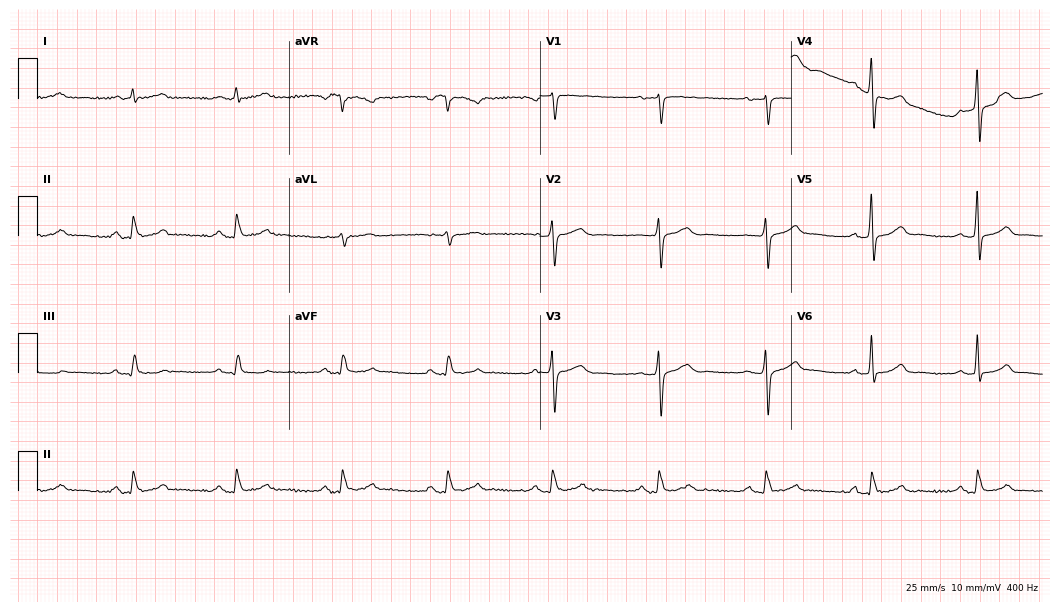
Standard 12-lead ECG recorded from a man, 67 years old. Read as a normal ECG.